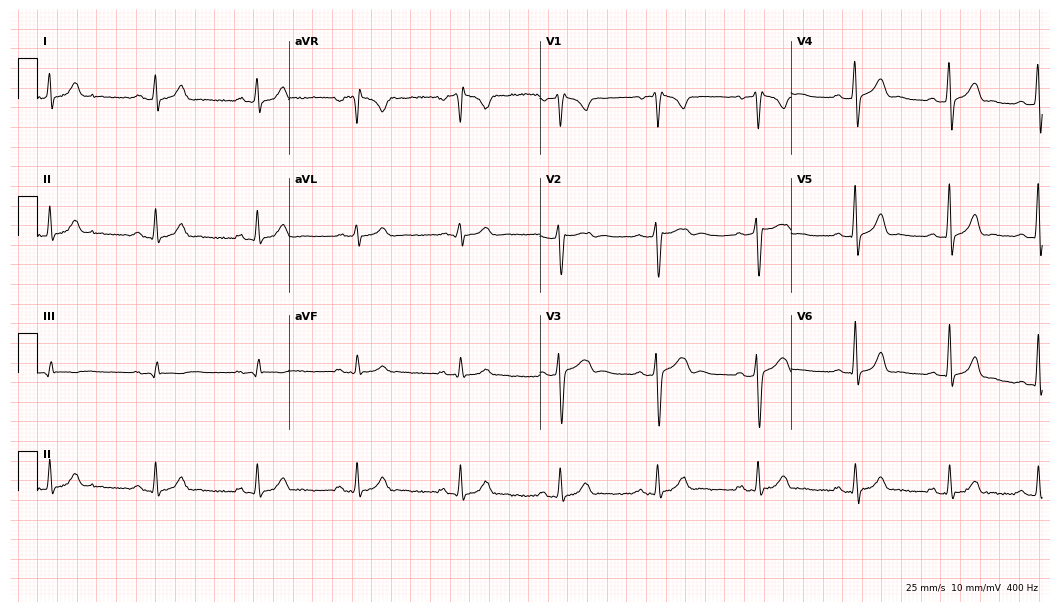
Electrocardiogram, a 24-year-old male. Of the six screened findings (first-degree AV block, right bundle branch block, left bundle branch block, sinus bradycardia, atrial fibrillation, sinus tachycardia), none is recorded. Only these six findings were labelled.